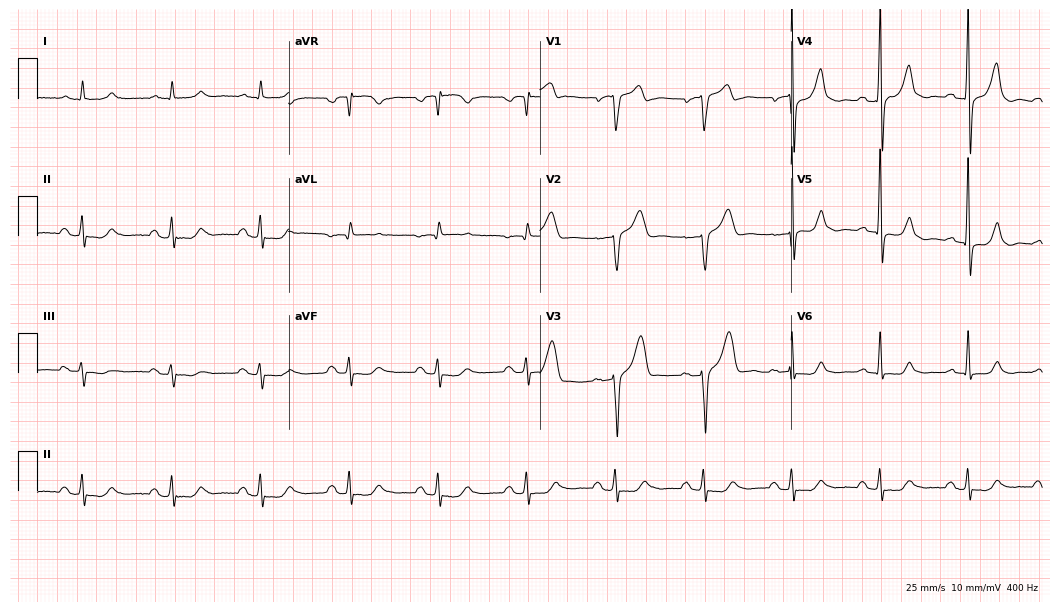
12-lead ECG (10.2-second recording at 400 Hz) from a male patient, 64 years old. Screened for six findings — first-degree AV block, right bundle branch block, left bundle branch block, sinus bradycardia, atrial fibrillation, sinus tachycardia — none is recorded.